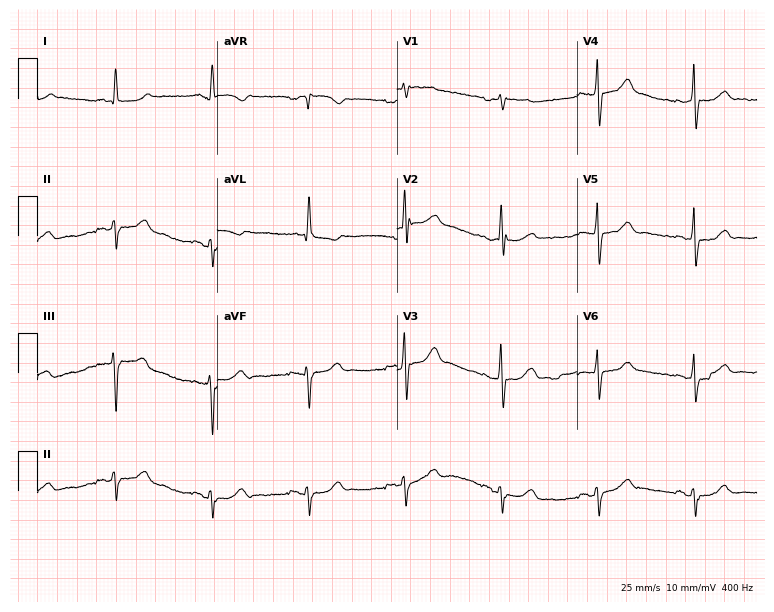
12-lead ECG from a male patient, 84 years old (7.3-second recording at 400 Hz). No first-degree AV block, right bundle branch block, left bundle branch block, sinus bradycardia, atrial fibrillation or sinus tachycardia recorded for this tracing. Only these six findings were labelled.